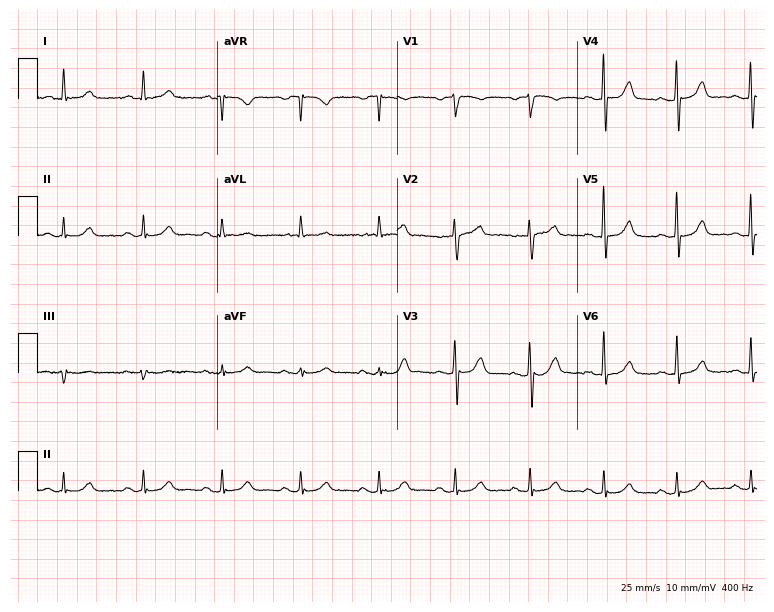
12-lead ECG (7.3-second recording at 400 Hz) from a male, 84 years old. Labelled as a normal ECG.